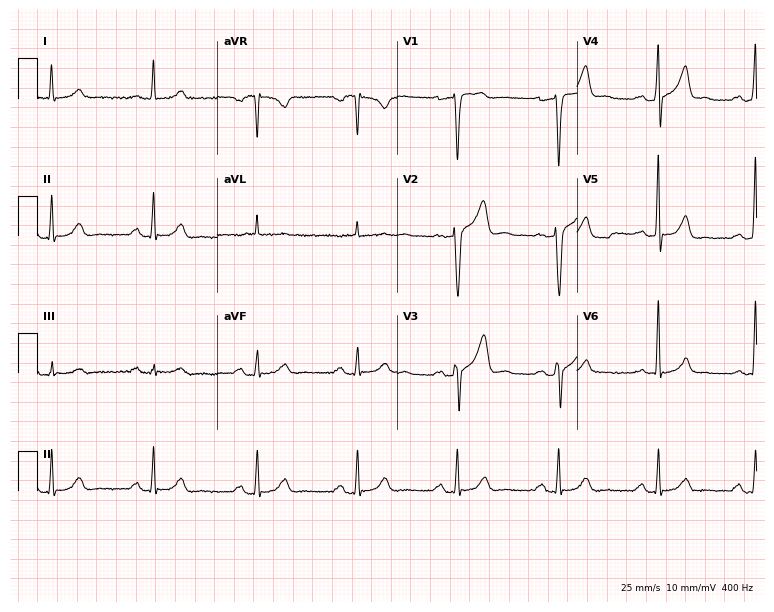
Standard 12-lead ECG recorded from a male, 49 years old. Read as a normal ECG.